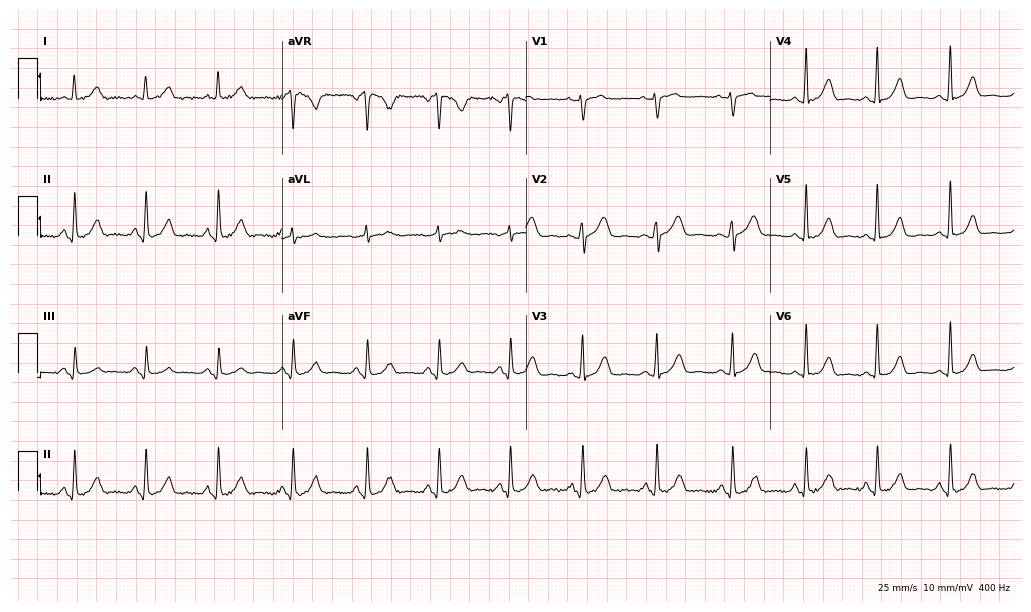
Resting 12-lead electrocardiogram. Patient: a 53-year-old woman. Read as a normal ECG.